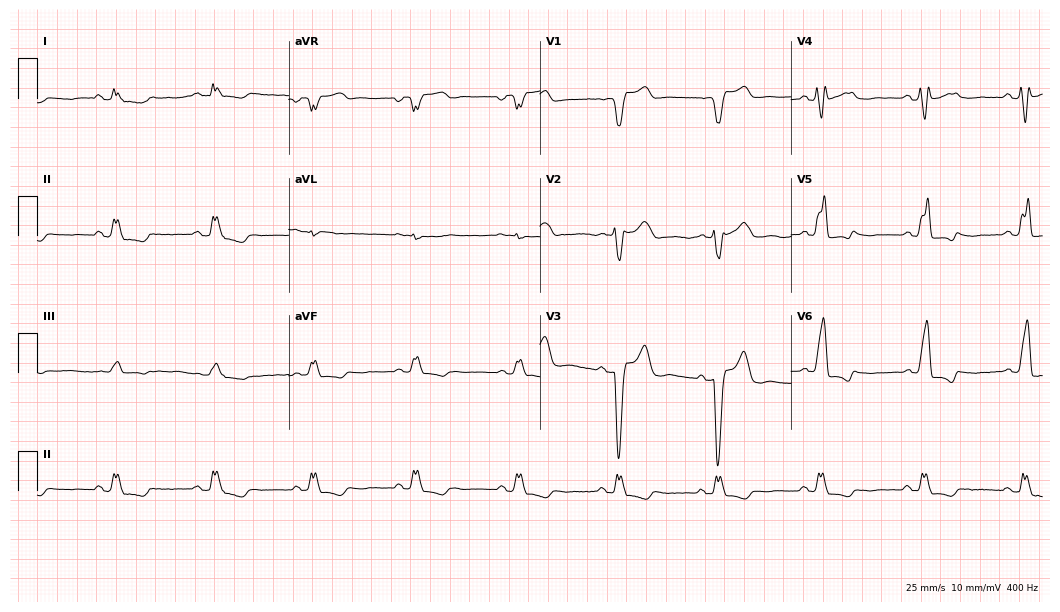
12-lead ECG from a man, 79 years old. Shows left bundle branch block (LBBB).